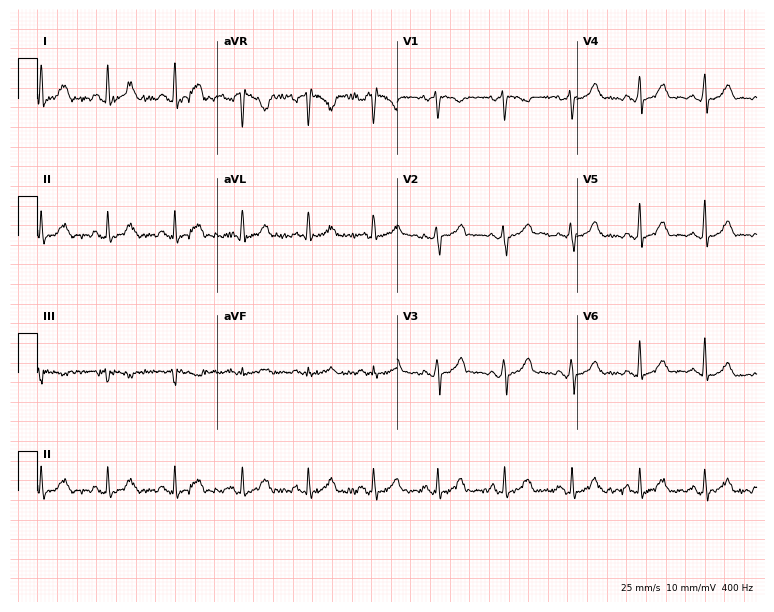
Resting 12-lead electrocardiogram (7.3-second recording at 400 Hz). Patient: a female, 37 years old. Read as a normal ECG.